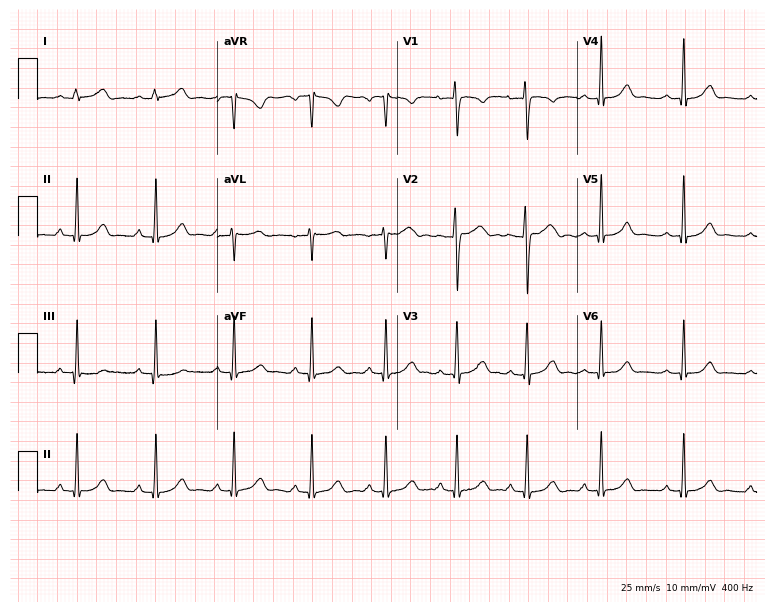
12-lead ECG from a woman, 23 years old (7.3-second recording at 400 Hz). No first-degree AV block, right bundle branch block, left bundle branch block, sinus bradycardia, atrial fibrillation or sinus tachycardia recorded for this tracing. Findings outside these six are not listed.